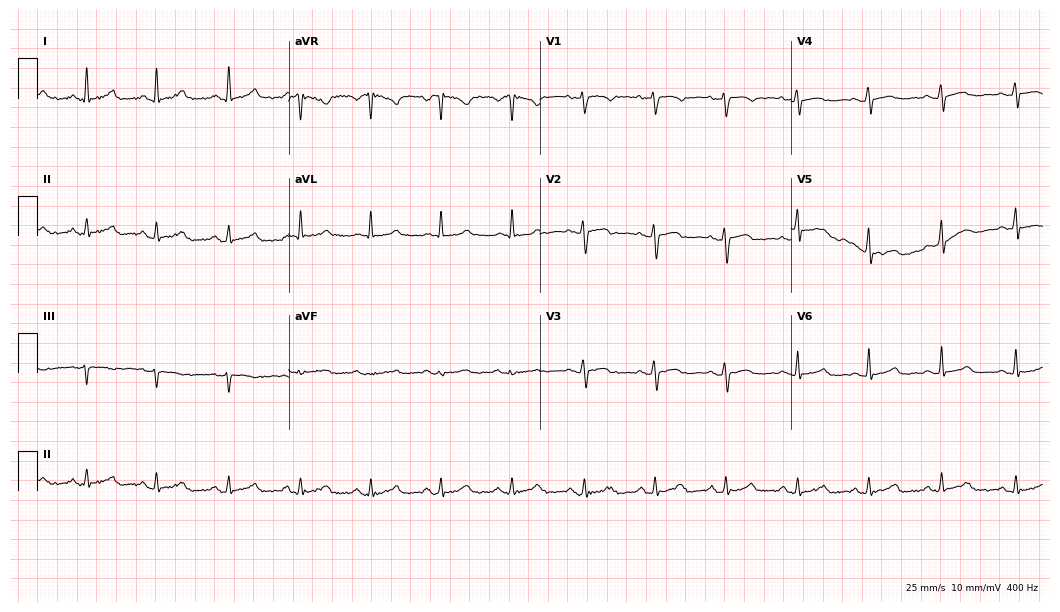
12-lead ECG (10.2-second recording at 400 Hz) from a female patient, 34 years old. Labelled as a normal ECG.